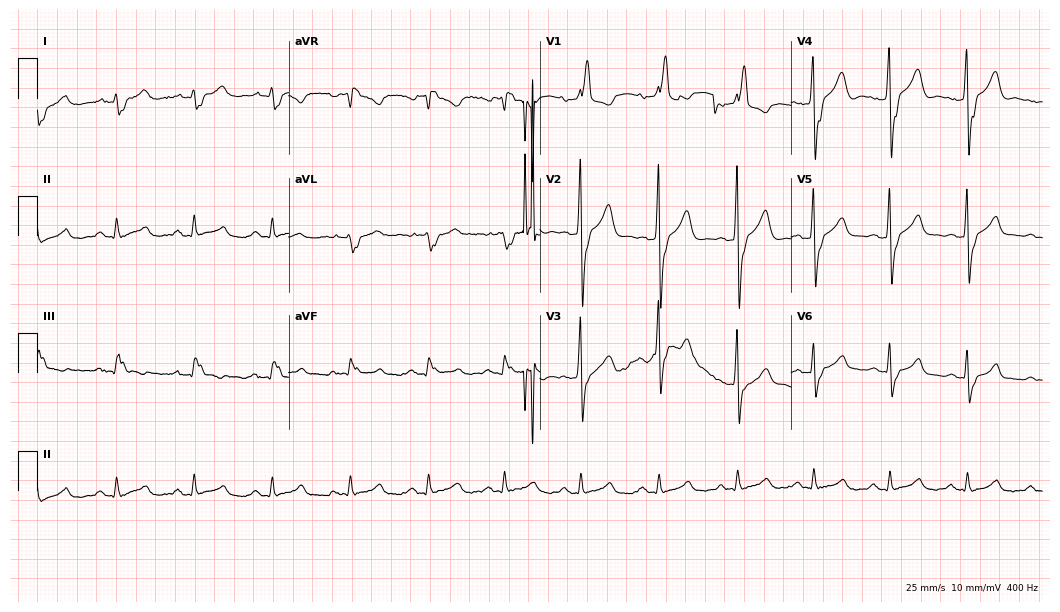
12-lead ECG from a man, 66 years old. Shows right bundle branch block.